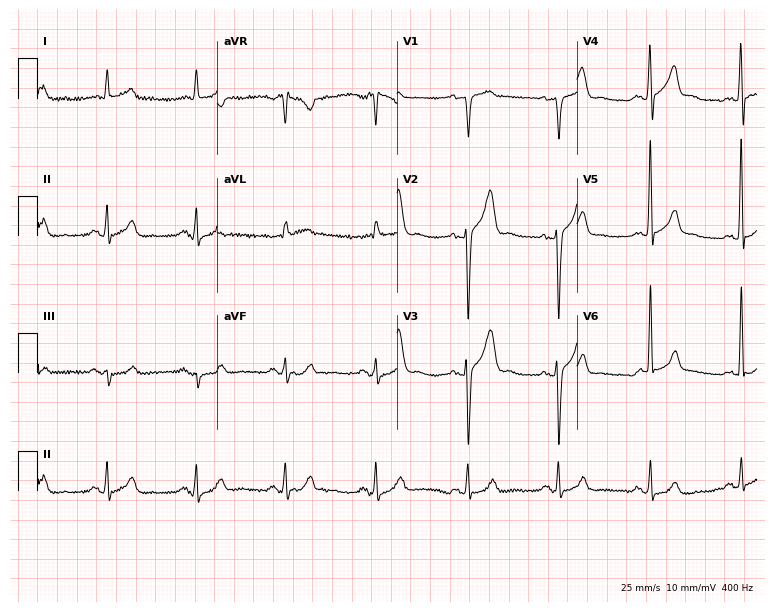
Electrocardiogram, a male patient, 39 years old. Of the six screened findings (first-degree AV block, right bundle branch block, left bundle branch block, sinus bradycardia, atrial fibrillation, sinus tachycardia), none is recorded.